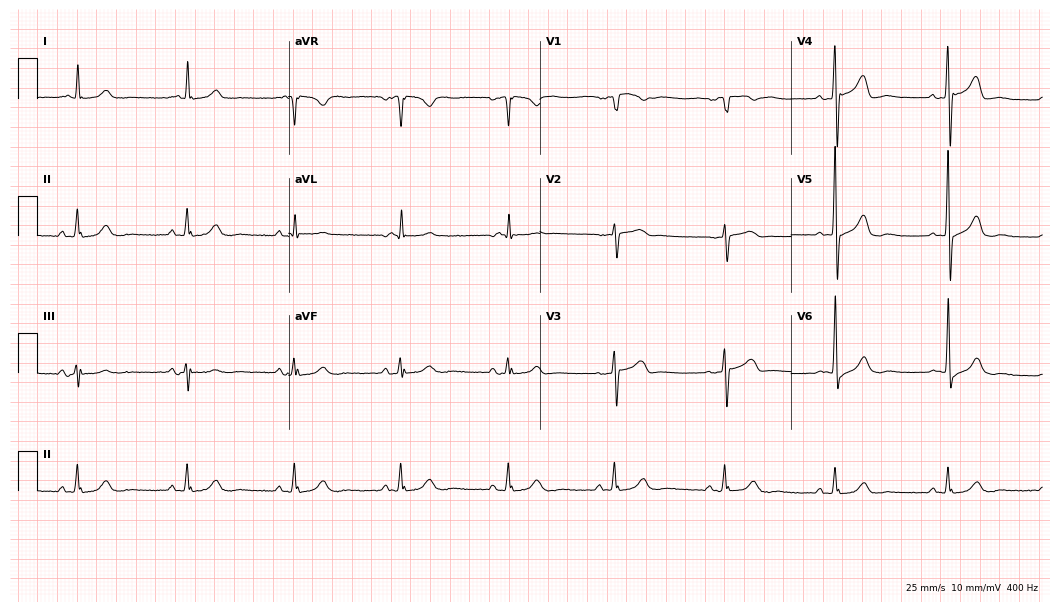
Resting 12-lead electrocardiogram (10.2-second recording at 400 Hz). Patient: a 77-year-old man. None of these six findings is recorded: first-degree AV block, right bundle branch block, left bundle branch block, sinus bradycardia, atrial fibrillation, sinus tachycardia. Findings outside these six are not listed.